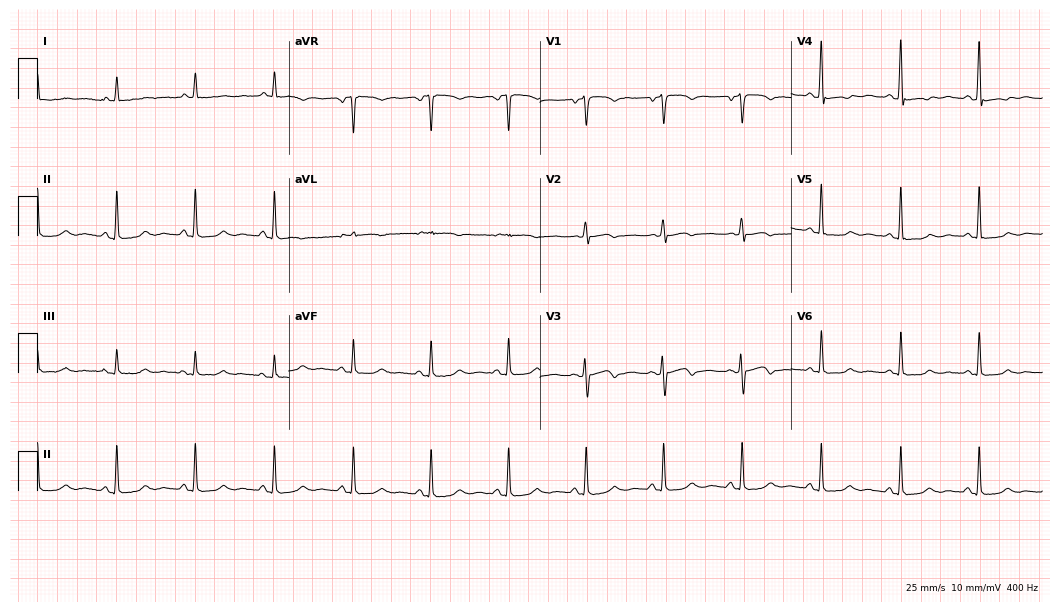
Resting 12-lead electrocardiogram (10.2-second recording at 400 Hz). Patient: a 65-year-old female. None of these six findings is recorded: first-degree AV block, right bundle branch block (RBBB), left bundle branch block (LBBB), sinus bradycardia, atrial fibrillation (AF), sinus tachycardia.